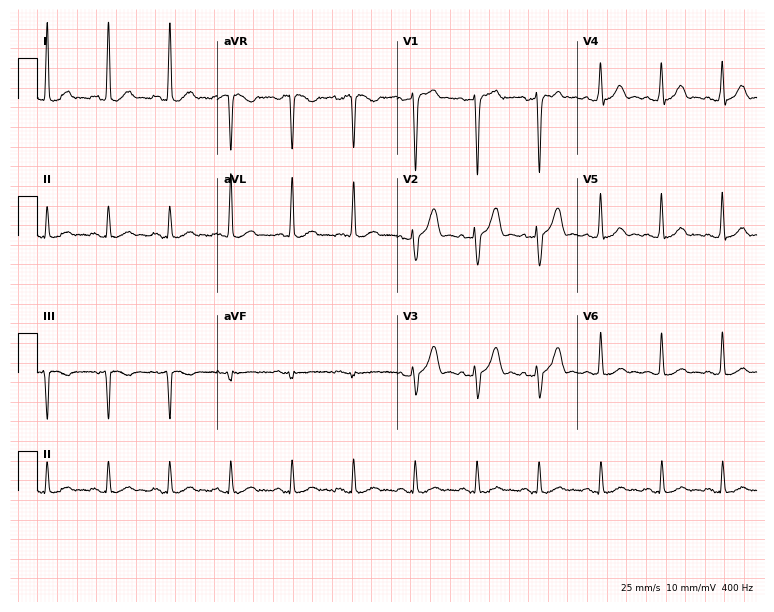
ECG — a 41-year-old male patient. Labelled as a normal ECG.